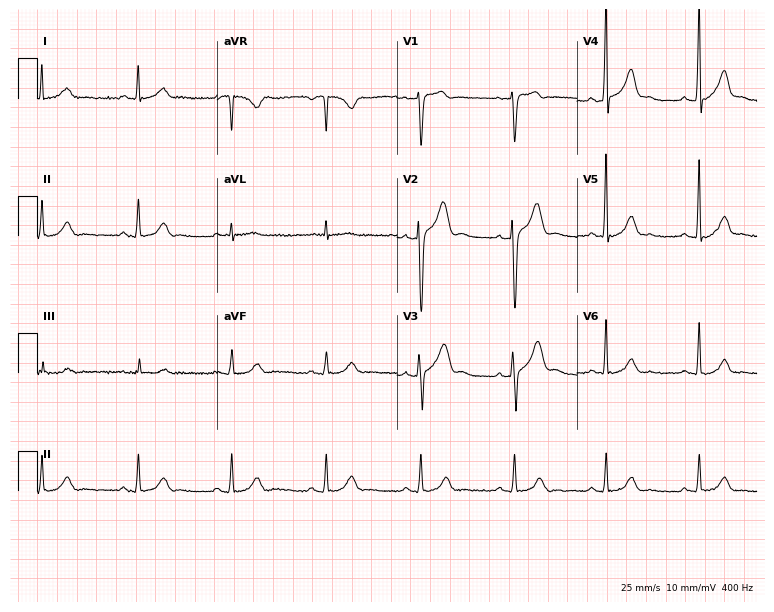
12-lead ECG (7.3-second recording at 400 Hz) from a 46-year-old man. Labelled as a normal ECG.